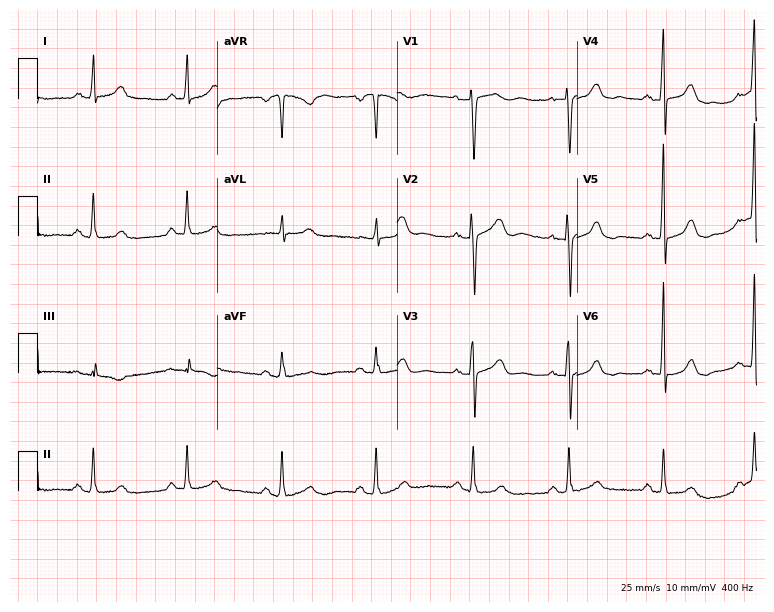
12-lead ECG from a 58-year-old female patient. No first-degree AV block, right bundle branch block (RBBB), left bundle branch block (LBBB), sinus bradycardia, atrial fibrillation (AF) or sinus tachycardia recorded for this tracing. Only these six findings were labelled.